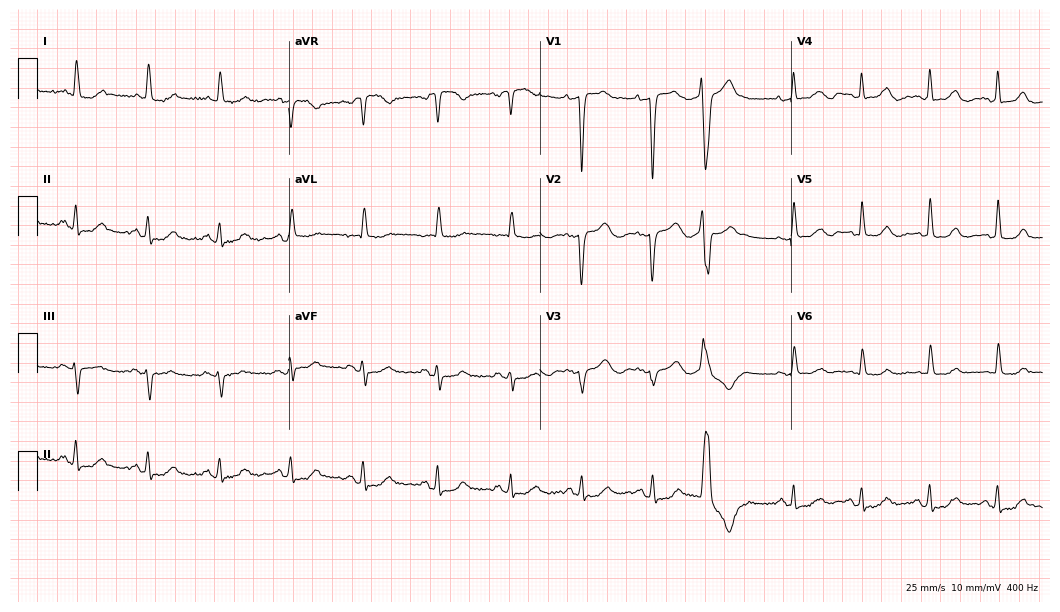
12-lead ECG from a 63-year-old female (10.2-second recording at 400 Hz). No first-degree AV block, right bundle branch block, left bundle branch block, sinus bradycardia, atrial fibrillation or sinus tachycardia recorded for this tracing.